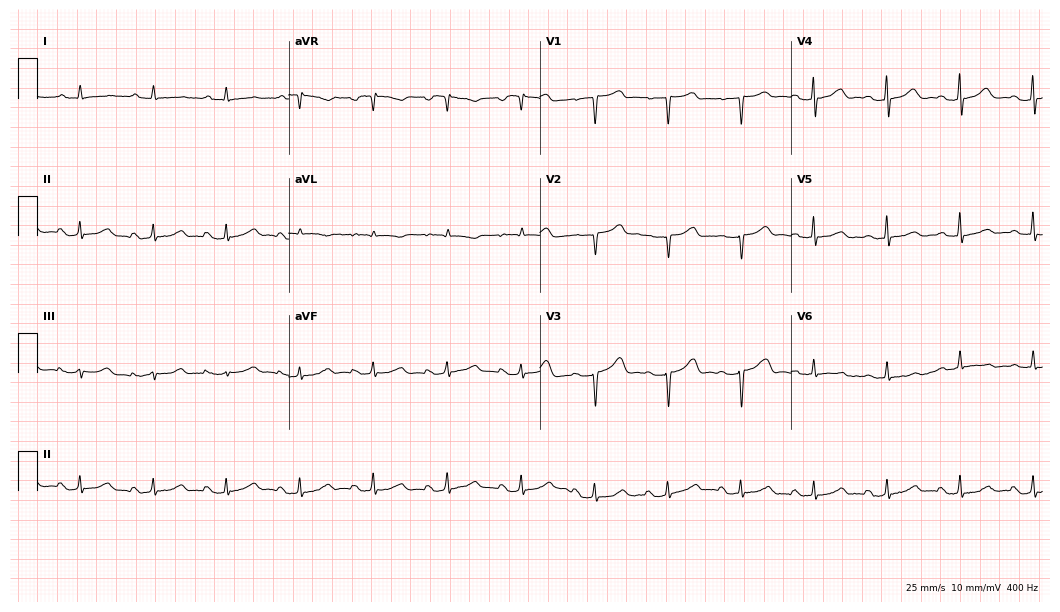
12-lead ECG from a female patient, 83 years old. Recorded interpretation: within normal limits.